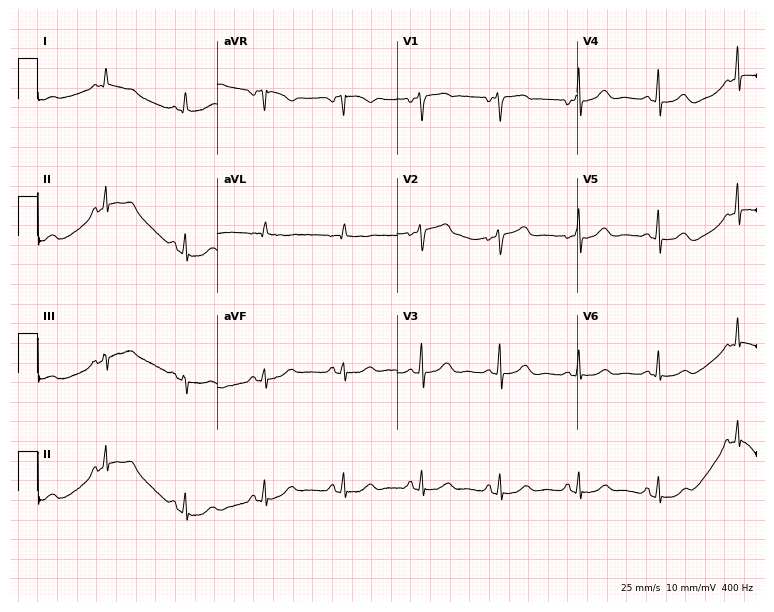
12-lead ECG from a 47-year-old female patient. Screened for six findings — first-degree AV block, right bundle branch block, left bundle branch block, sinus bradycardia, atrial fibrillation, sinus tachycardia — none is recorded.